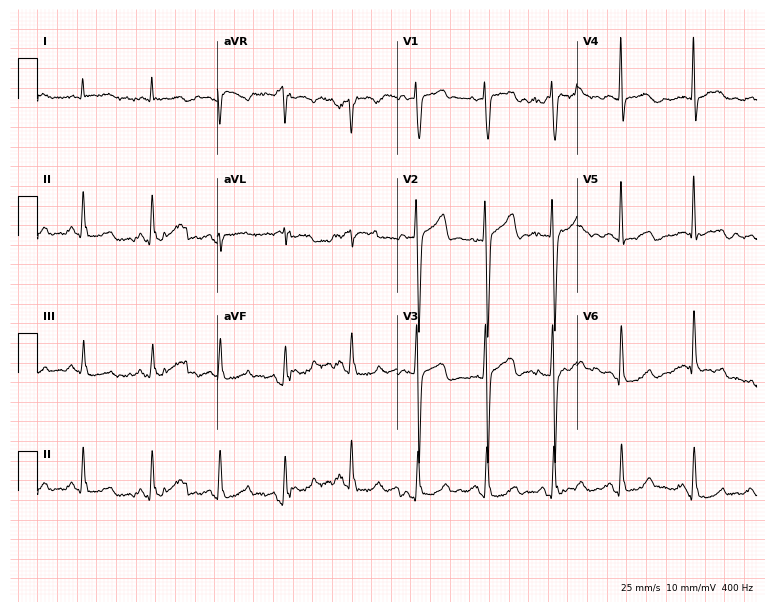
12-lead ECG (7.3-second recording at 400 Hz) from a male patient, 46 years old. Screened for six findings — first-degree AV block, right bundle branch block (RBBB), left bundle branch block (LBBB), sinus bradycardia, atrial fibrillation (AF), sinus tachycardia — none is recorded.